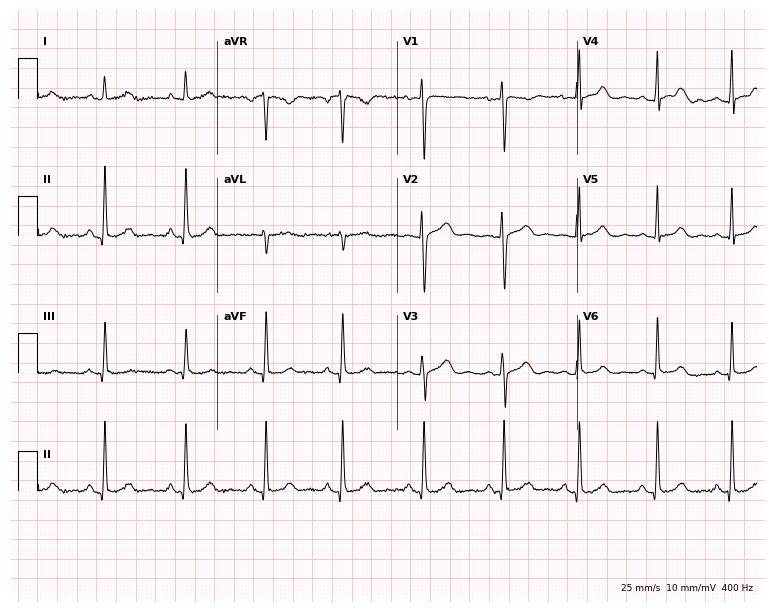
ECG (7.3-second recording at 400 Hz) — a 34-year-old woman. Screened for six findings — first-degree AV block, right bundle branch block, left bundle branch block, sinus bradycardia, atrial fibrillation, sinus tachycardia — none is recorded.